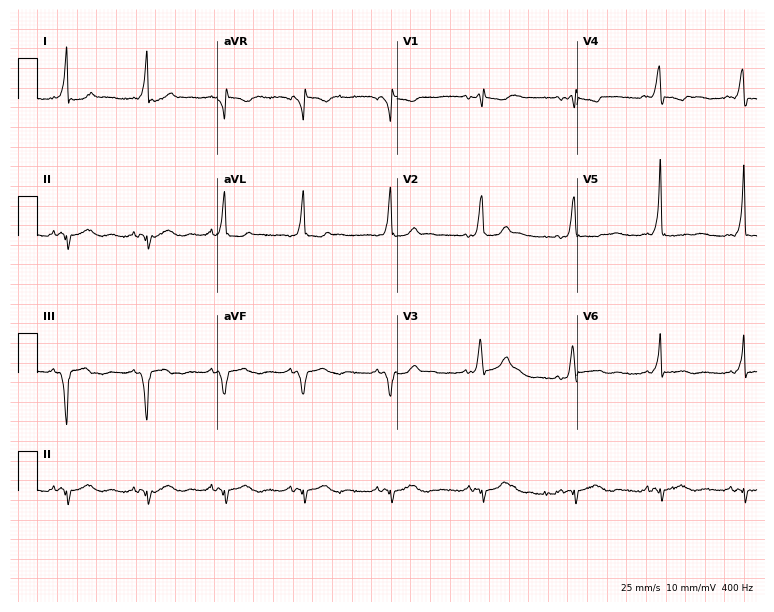
Resting 12-lead electrocardiogram (7.3-second recording at 400 Hz). Patient: a 27-year-old female. None of these six findings is recorded: first-degree AV block, right bundle branch block, left bundle branch block, sinus bradycardia, atrial fibrillation, sinus tachycardia.